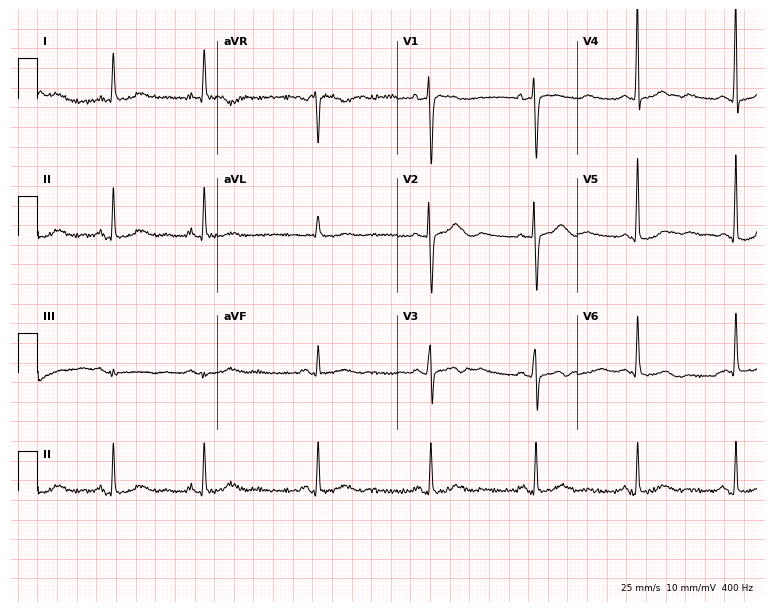
12-lead ECG from a female, 82 years old. Screened for six findings — first-degree AV block, right bundle branch block (RBBB), left bundle branch block (LBBB), sinus bradycardia, atrial fibrillation (AF), sinus tachycardia — none is recorded.